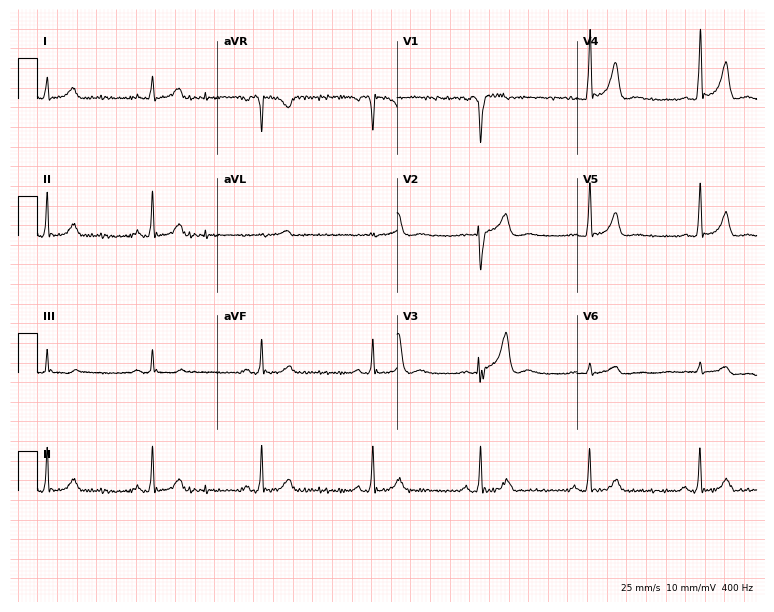
Electrocardiogram, a man, 35 years old. Of the six screened findings (first-degree AV block, right bundle branch block (RBBB), left bundle branch block (LBBB), sinus bradycardia, atrial fibrillation (AF), sinus tachycardia), none is recorded. Other findings, if any, are not listed.